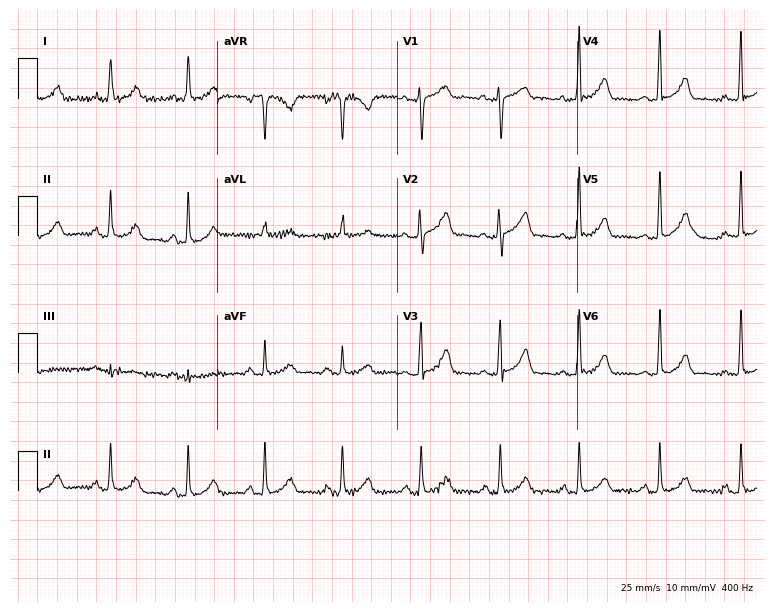
ECG — a woman, 47 years old. Screened for six findings — first-degree AV block, right bundle branch block (RBBB), left bundle branch block (LBBB), sinus bradycardia, atrial fibrillation (AF), sinus tachycardia — none is recorded.